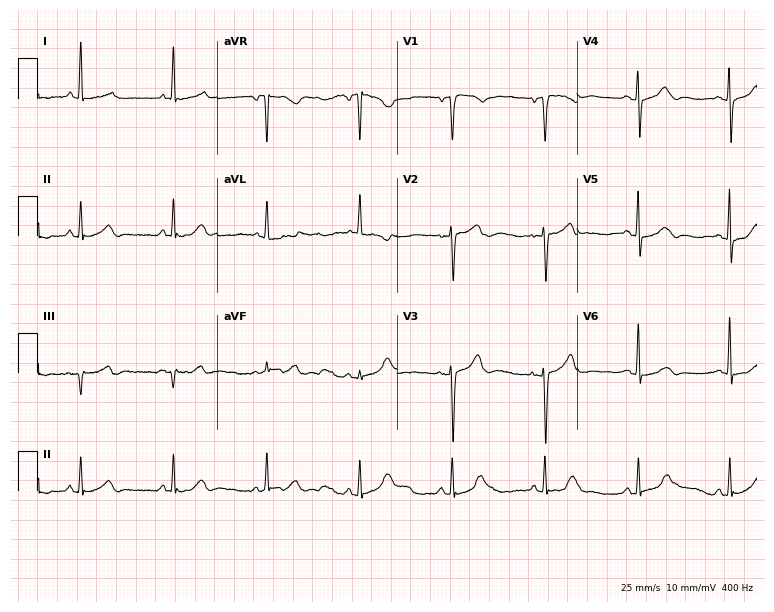
ECG — an 85-year-old woman. Labelled as a normal ECG.